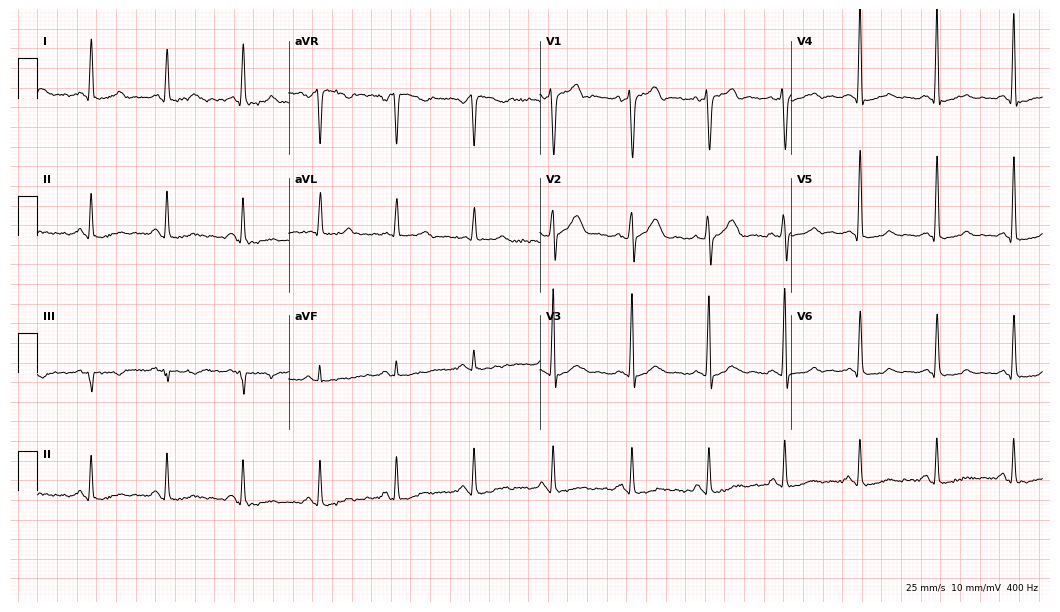
Standard 12-lead ECG recorded from a man, 46 years old. None of these six findings is recorded: first-degree AV block, right bundle branch block (RBBB), left bundle branch block (LBBB), sinus bradycardia, atrial fibrillation (AF), sinus tachycardia. Other findings, if any, are not listed.